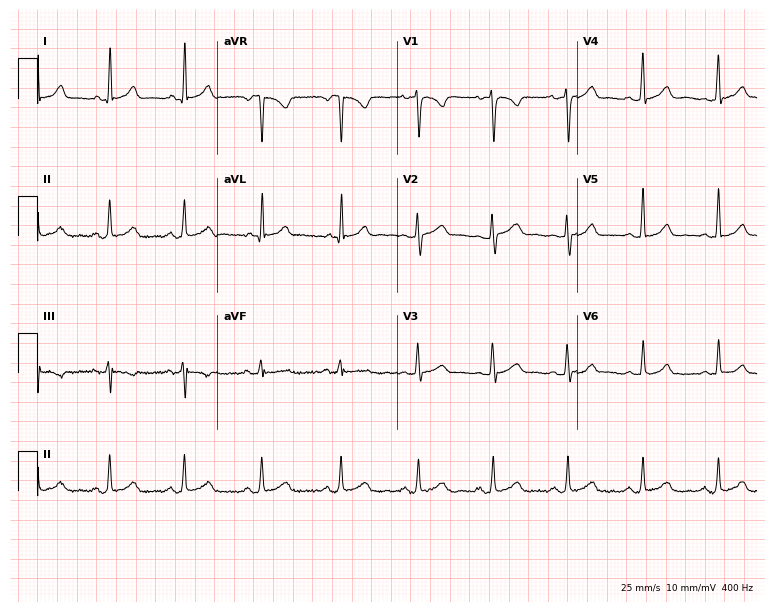
ECG (7.3-second recording at 400 Hz) — a woman, 26 years old. Labelled as a normal ECG.